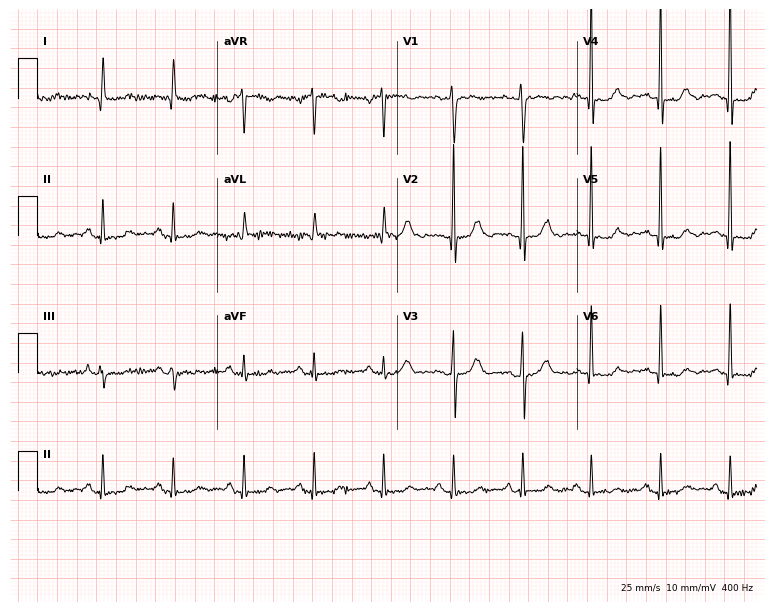
12-lead ECG from a 53-year-old female patient. Screened for six findings — first-degree AV block, right bundle branch block, left bundle branch block, sinus bradycardia, atrial fibrillation, sinus tachycardia — none is recorded.